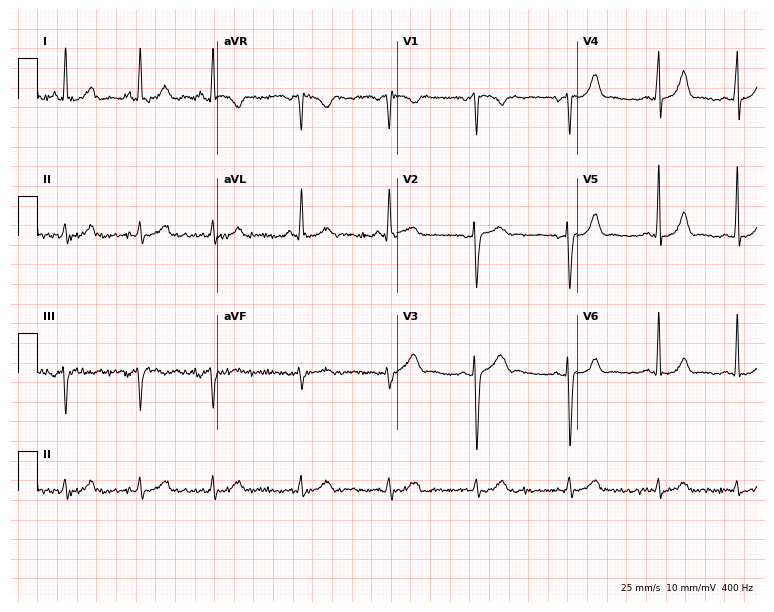
Standard 12-lead ECG recorded from a man, 25 years old. Read as a normal ECG.